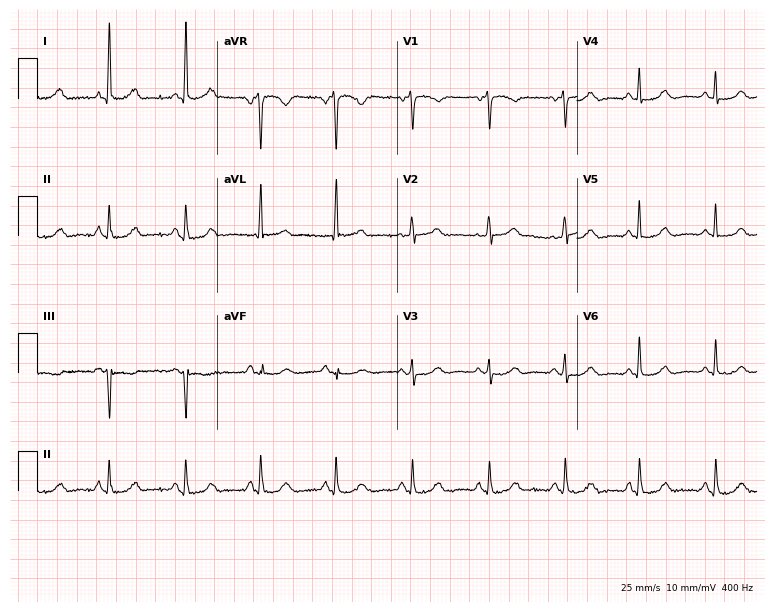
12-lead ECG from a 73-year-old woman (7.3-second recording at 400 Hz). Recorded interpretation: within normal limits.